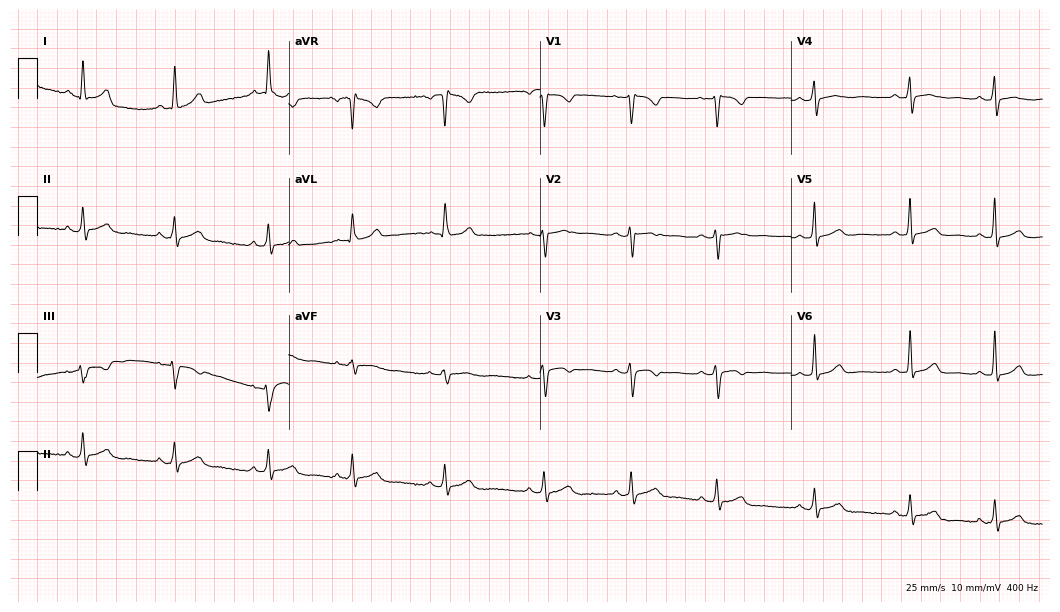
Electrocardiogram, a female, 22 years old. Overall reading on record: normal ECG.